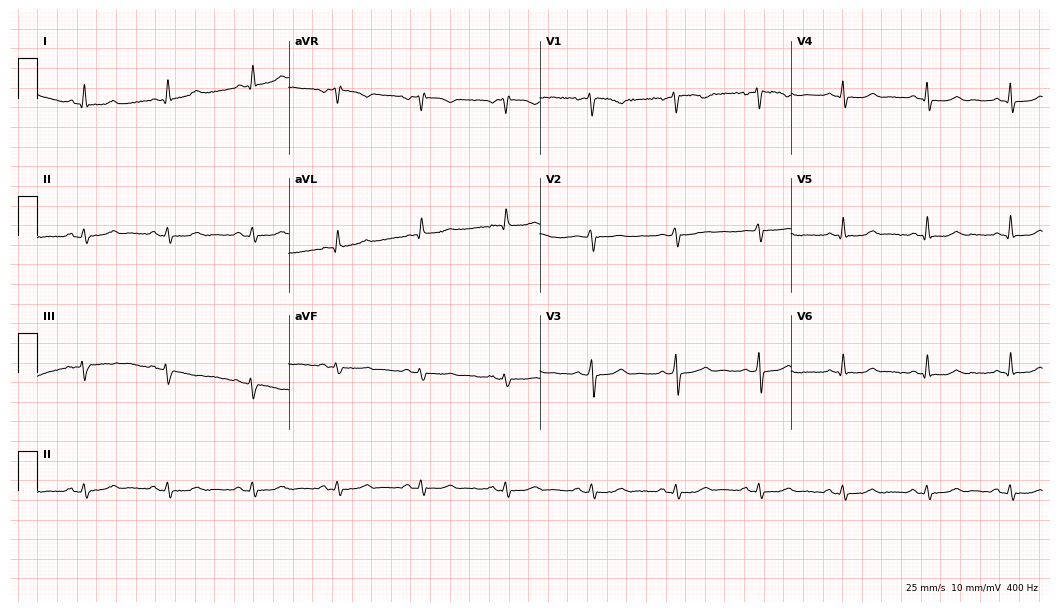
ECG (10.2-second recording at 400 Hz) — a female, 45 years old. Labelled as a normal ECG.